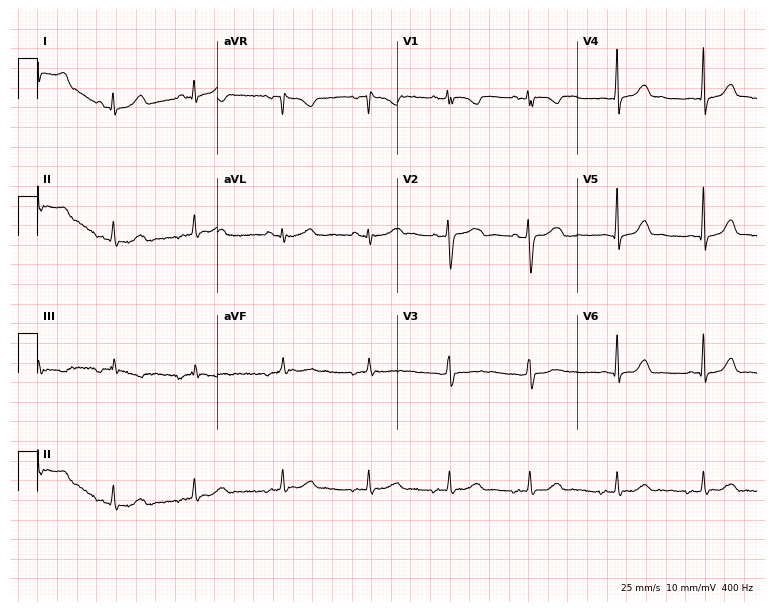
ECG — a 21-year-old female patient. Labelled as a normal ECG.